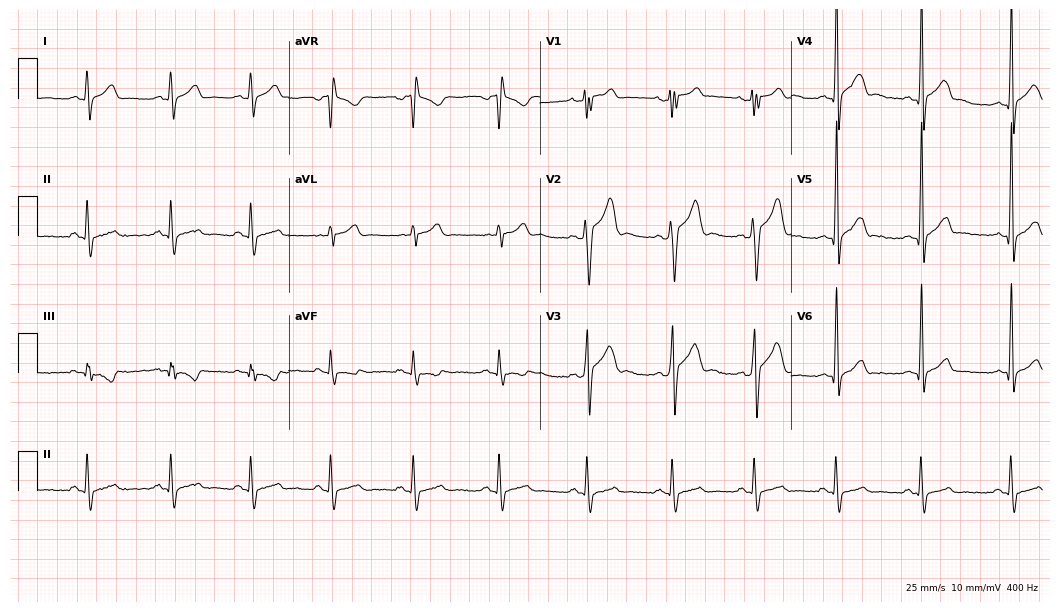
Standard 12-lead ECG recorded from a 21-year-old male (10.2-second recording at 400 Hz). None of these six findings is recorded: first-degree AV block, right bundle branch block, left bundle branch block, sinus bradycardia, atrial fibrillation, sinus tachycardia. Findings outside these six are not listed.